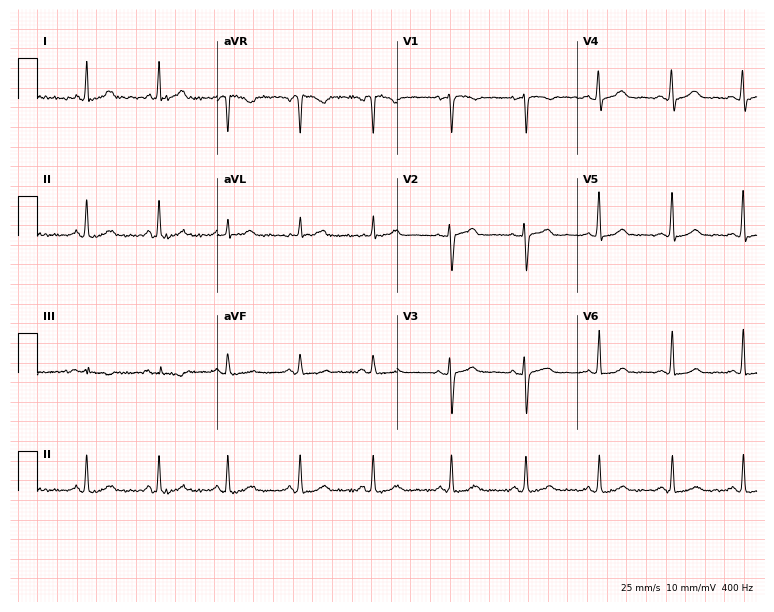
Standard 12-lead ECG recorded from a 42-year-old female (7.3-second recording at 400 Hz). Read as a normal ECG.